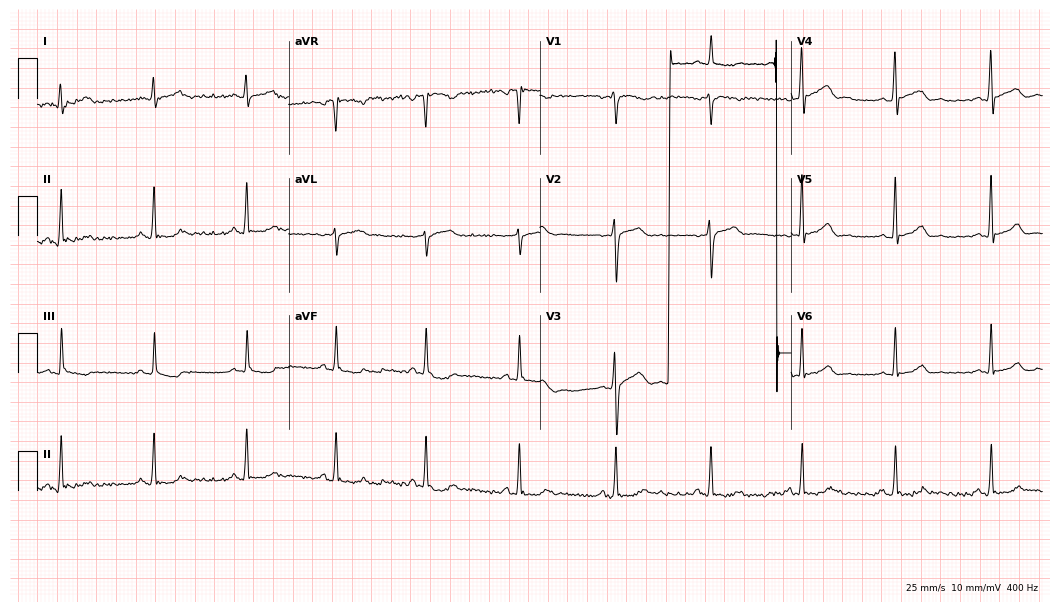
12-lead ECG from a 30-year-old male patient. Labelled as a normal ECG.